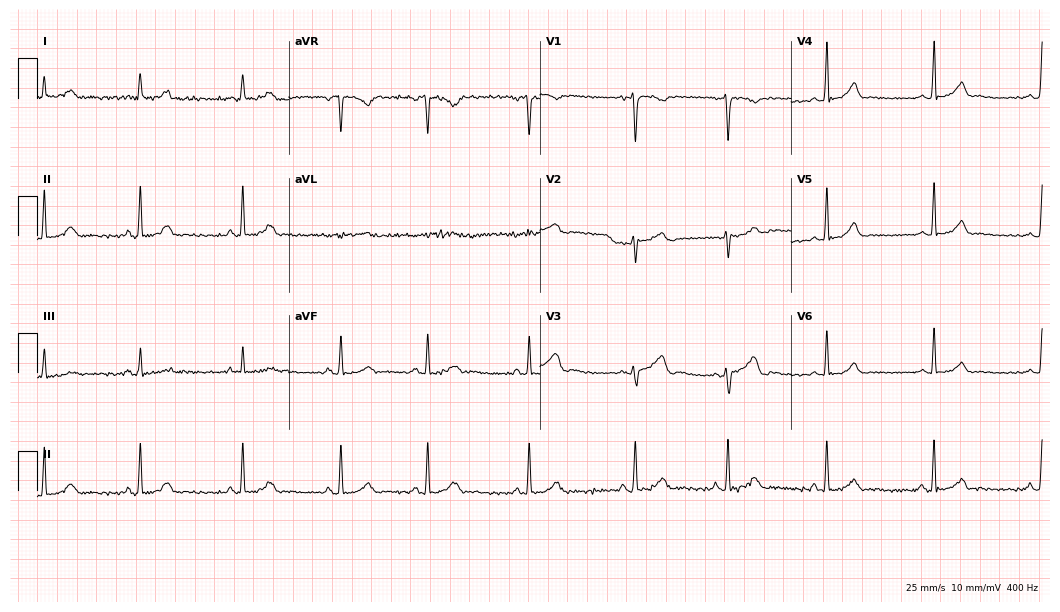
Electrocardiogram, a female patient, 21 years old. Overall reading on record: normal ECG.